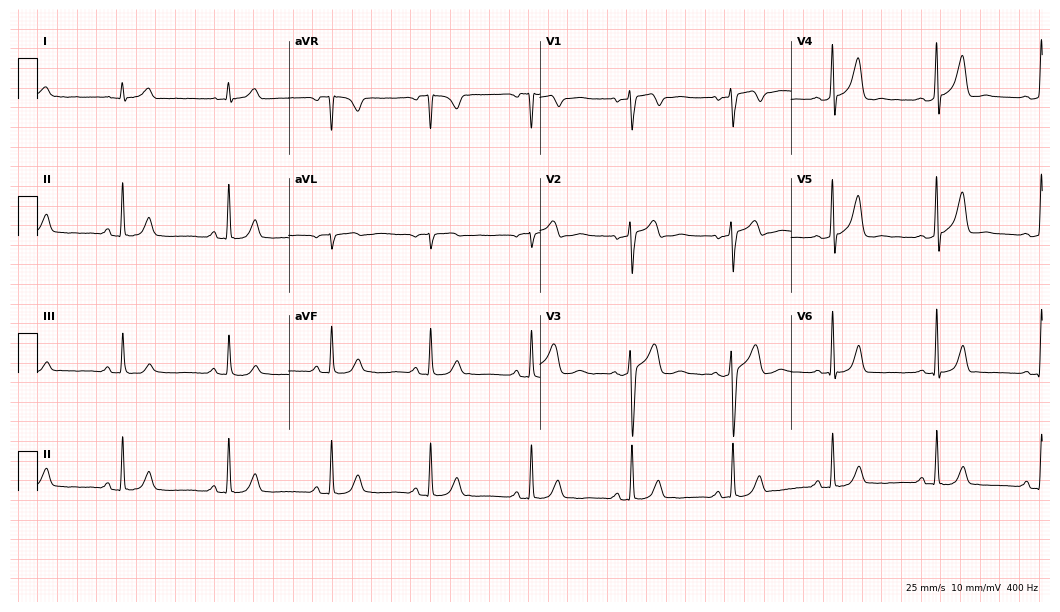
12-lead ECG from a male, 41 years old. Recorded interpretation: within normal limits.